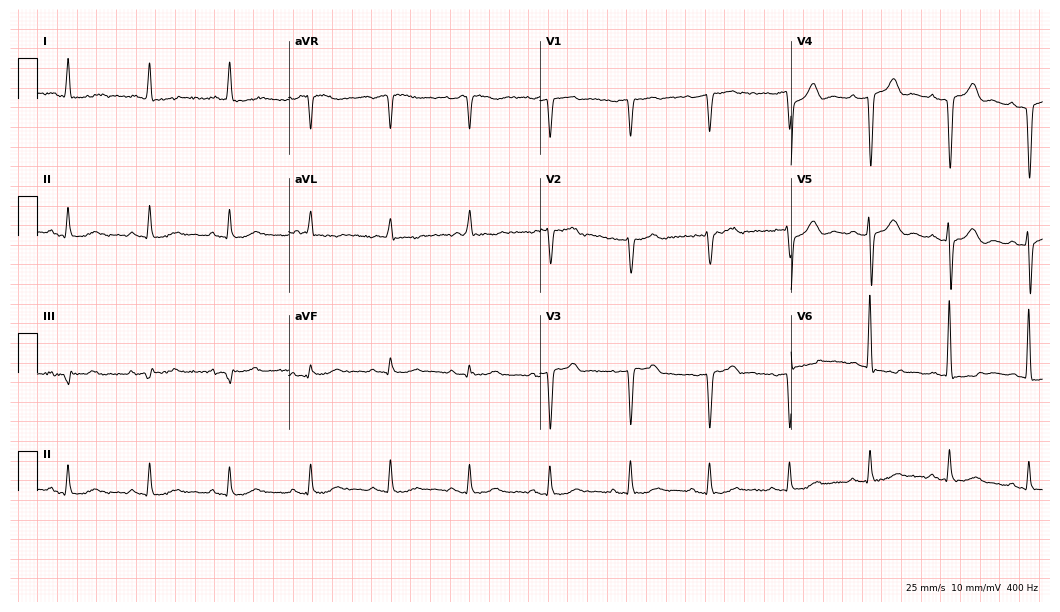
12-lead ECG from a 76-year-old man (10.2-second recording at 400 Hz). Recorded interpretation: within normal limits.